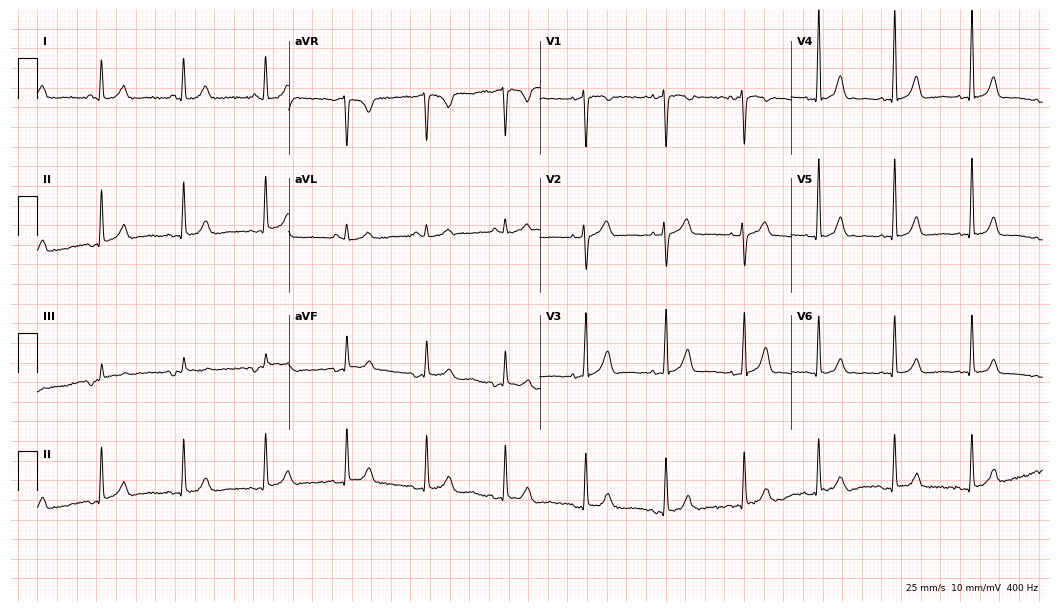
Standard 12-lead ECG recorded from a woman, 51 years old. Read as a normal ECG.